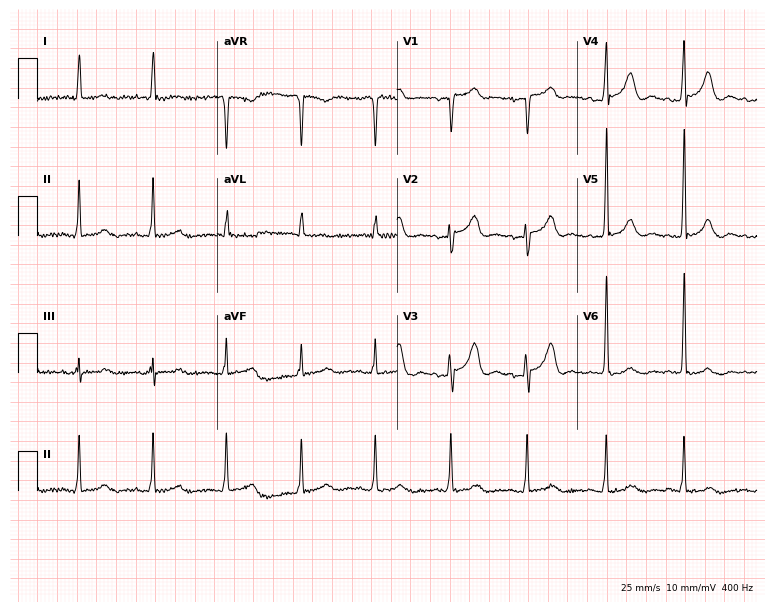
ECG — a woman, 76 years old. Labelled as a normal ECG.